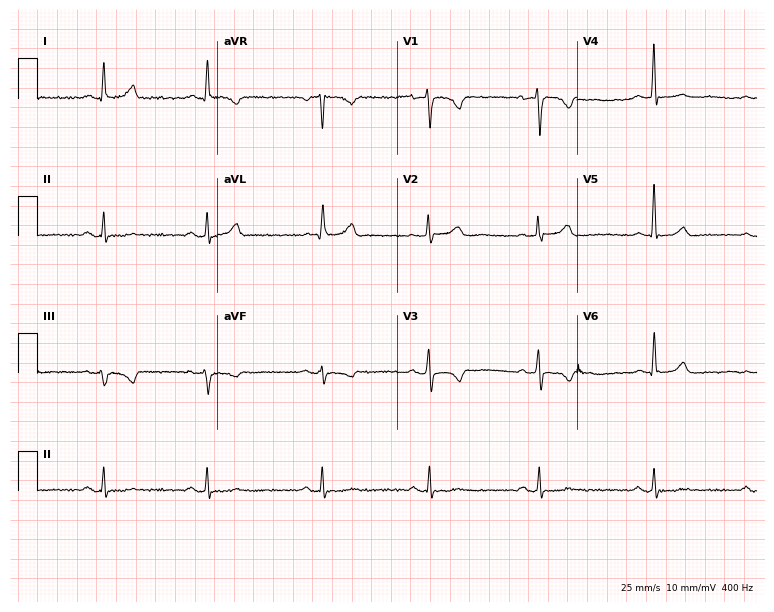
Standard 12-lead ECG recorded from a female patient, 60 years old (7.3-second recording at 400 Hz). The tracing shows sinus bradycardia (a sinus rate of 50 beats per minute or less).